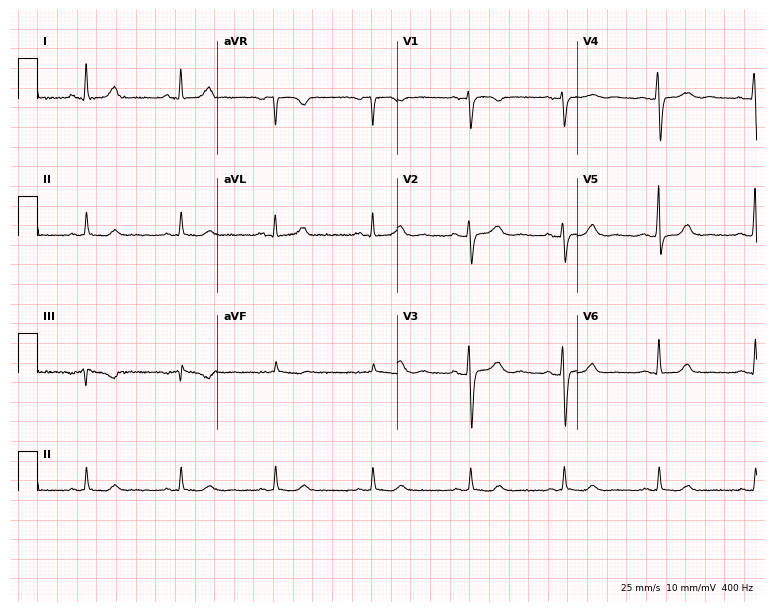
Standard 12-lead ECG recorded from a 50-year-old female. None of these six findings is recorded: first-degree AV block, right bundle branch block, left bundle branch block, sinus bradycardia, atrial fibrillation, sinus tachycardia.